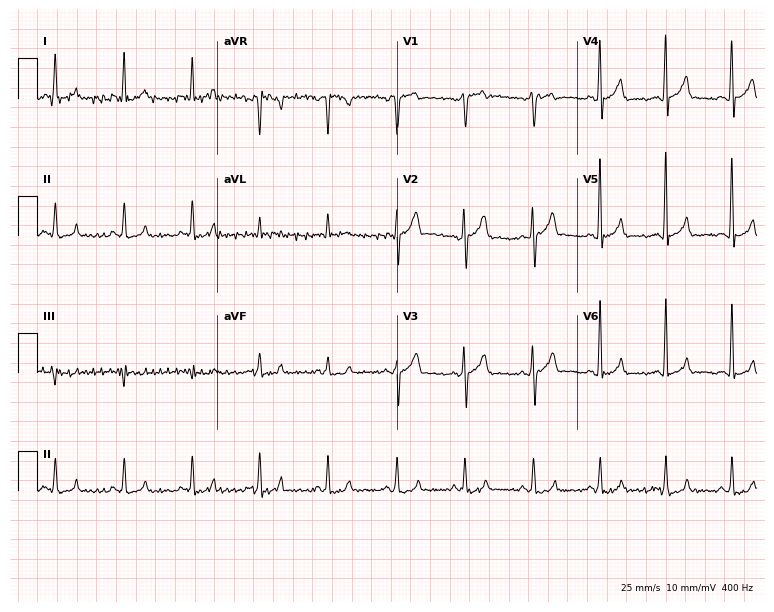
Electrocardiogram, a 37-year-old man. Of the six screened findings (first-degree AV block, right bundle branch block, left bundle branch block, sinus bradycardia, atrial fibrillation, sinus tachycardia), none is recorded. Other findings, if any, are not listed.